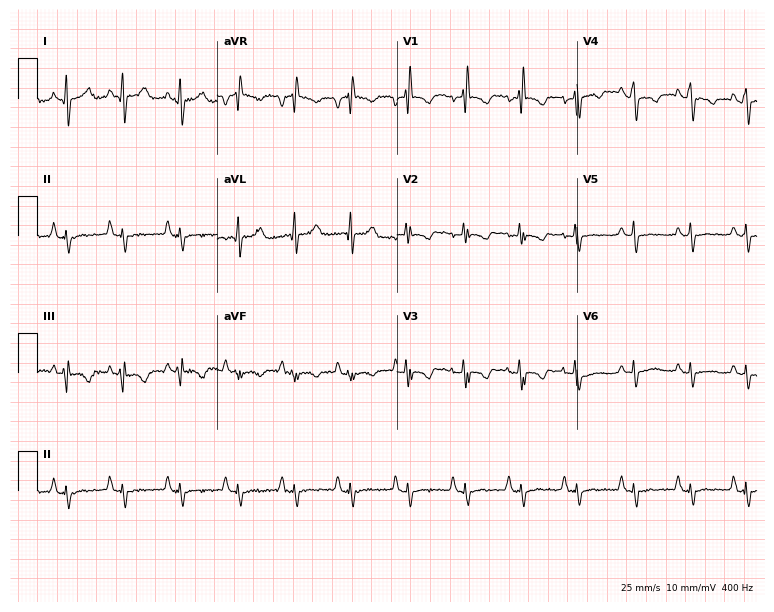
ECG — a 71-year-old female patient. Screened for six findings — first-degree AV block, right bundle branch block, left bundle branch block, sinus bradycardia, atrial fibrillation, sinus tachycardia — none is recorded.